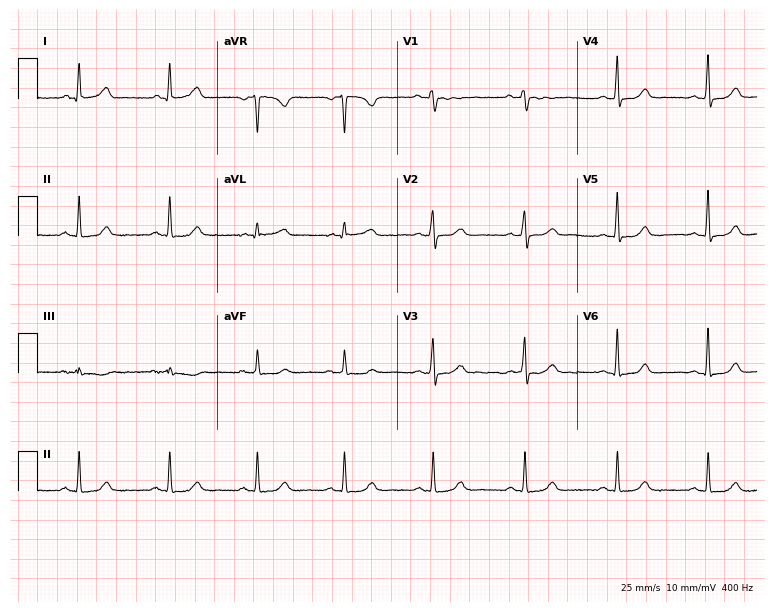
Standard 12-lead ECG recorded from a female, 43 years old (7.3-second recording at 400 Hz). Read as a normal ECG.